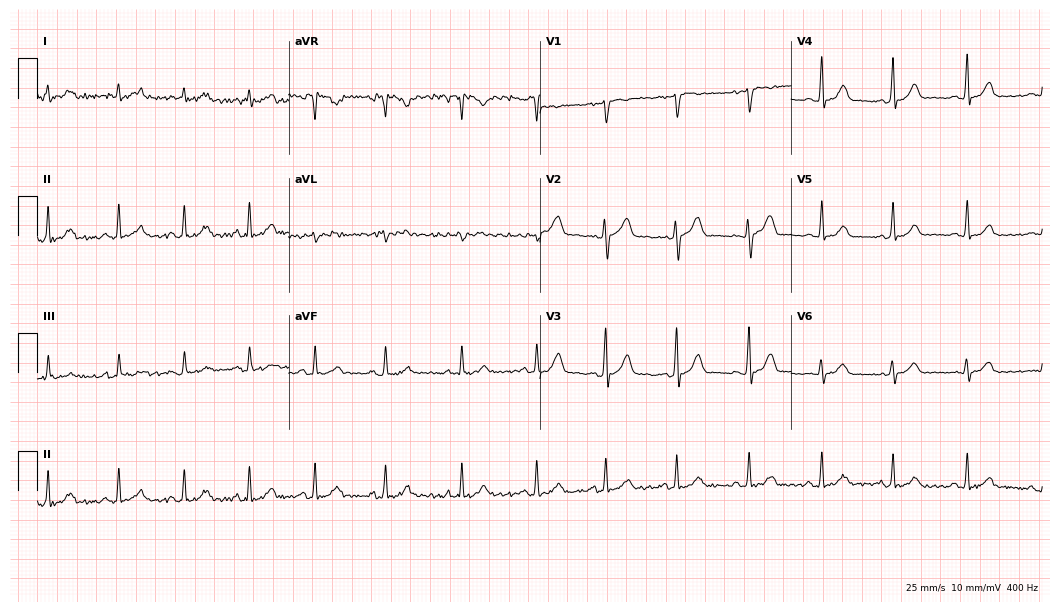
12-lead ECG (10.2-second recording at 400 Hz) from a 37-year-old female. Labelled as a normal ECG.